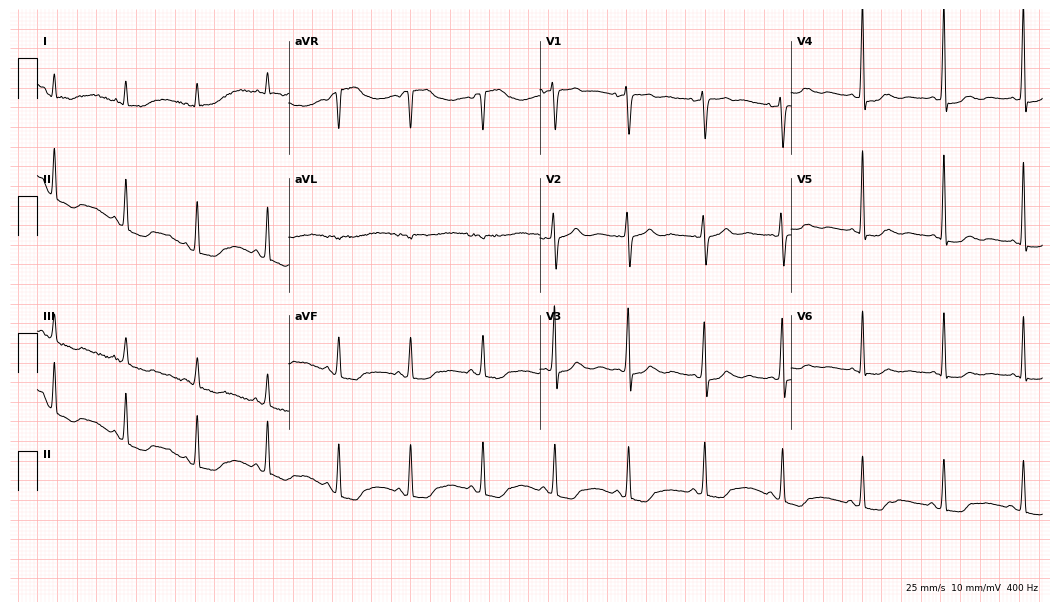
12-lead ECG from a male, 73 years old. Screened for six findings — first-degree AV block, right bundle branch block, left bundle branch block, sinus bradycardia, atrial fibrillation, sinus tachycardia — none is recorded. Findings outside these six are not listed.